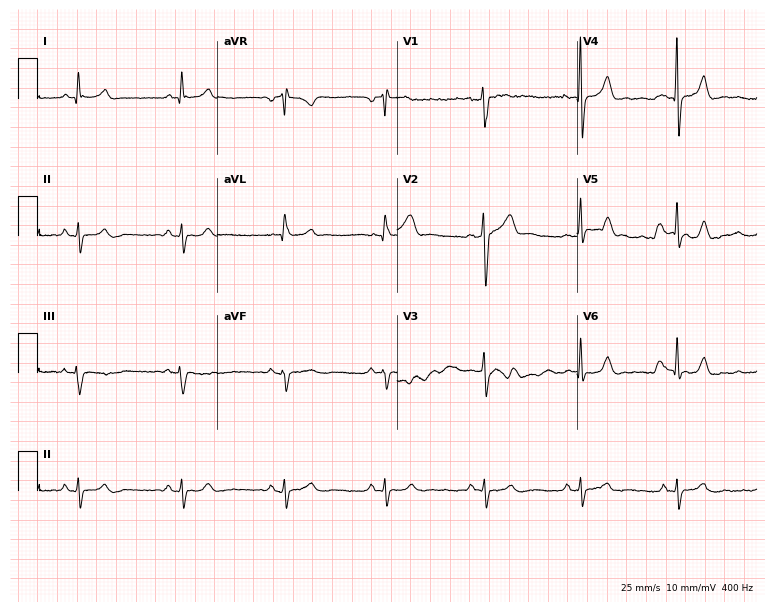
ECG (7.3-second recording at 400 Hz) — a 46-year-old male. Screened for six findings — first-degree AV block, right bundle branch block (RBBB), left bundle branch block (LBBB), sinus bradycardia, atrial fibrillation (AF), sinus tachycardia — none is recorded.